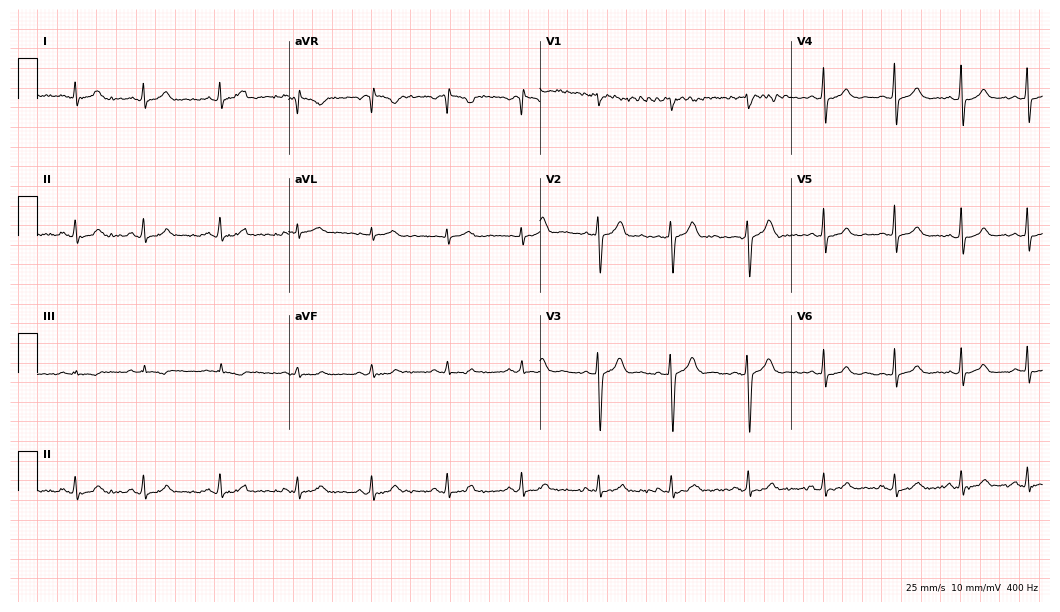
12-lead ECG from a female patient, 27 years old. No first-degree AV block, right bundle branch block, left bundle branch block, sinus bradycardia, atrial fibrillation or sinus tachycardia recorded for this tracing. Findings outside these six are not listed.